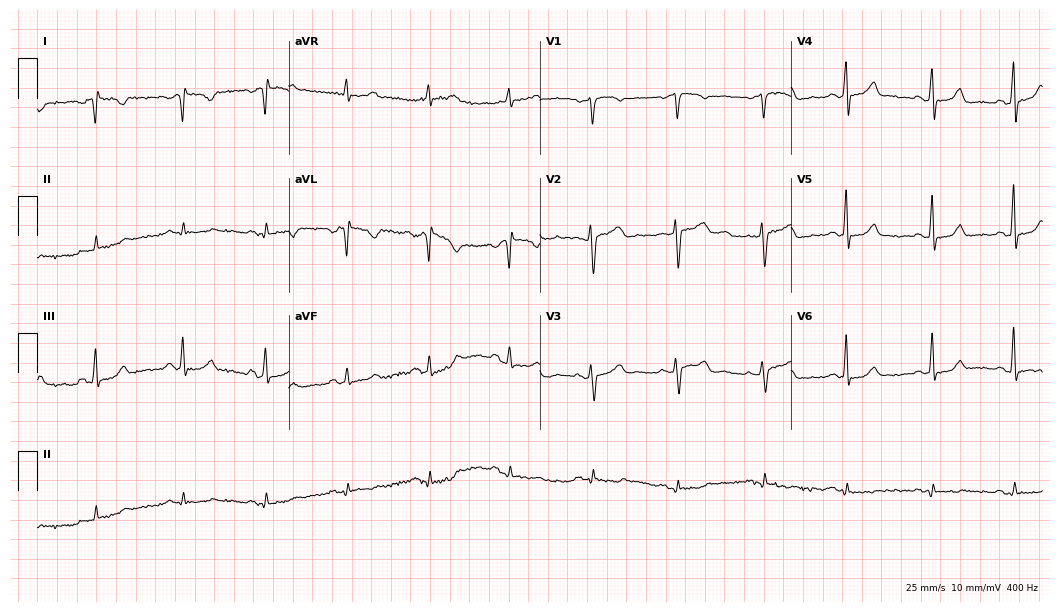
12-lead ECG from a 45-year-old female patient. Screened for six findings — first-degree AV block, right bundle branch block, left bundle branch block, sinus bradycardia, atrial fibrillation, sinus tachycardia — none is recorded. Findings outside these six are not listed.